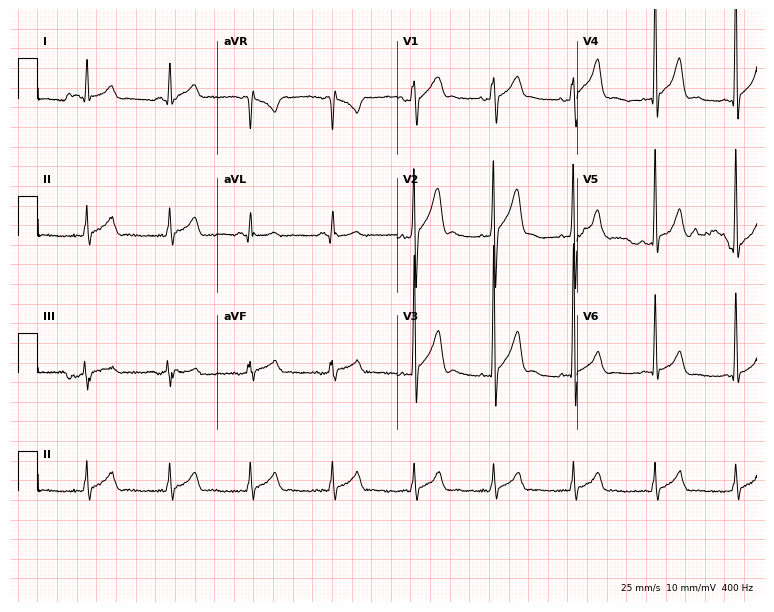
12-lead ECG from an 18-year-old male. Screened for six findings — first-degree AV block, right bundle branch block, left bundle branch block, sinus bradycardia, atrial fibrillation, sinus tachycardia — none is recorded.